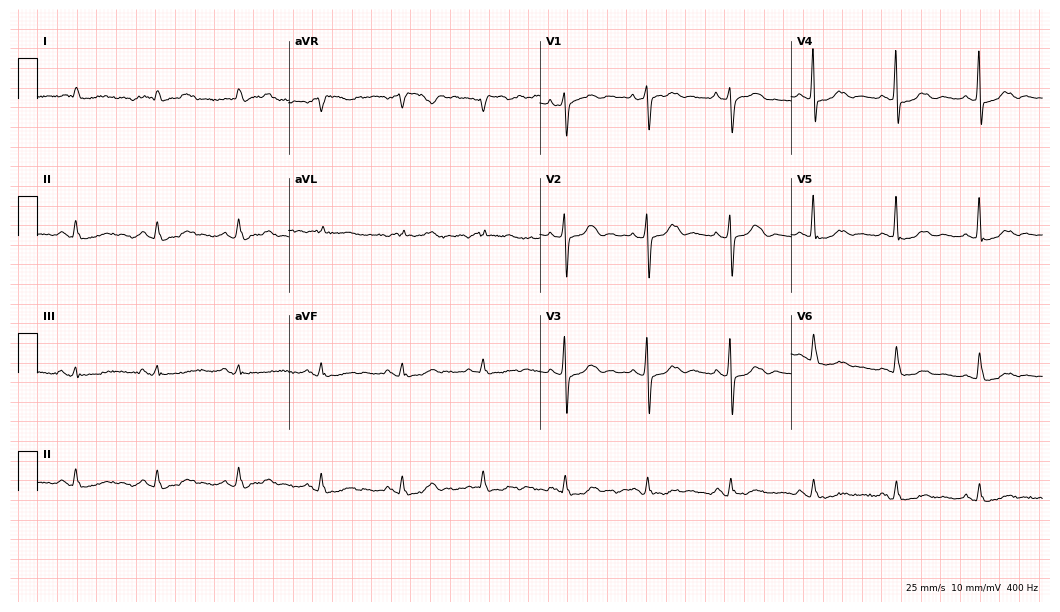
12-lead ECG from a female, 76 years old. Screened for six findings — first-degree AV block, right bundle branch block, left bundle branch block, sinus bradycardia, atrial fibrillation, sinus tachycardia — none is recorded.